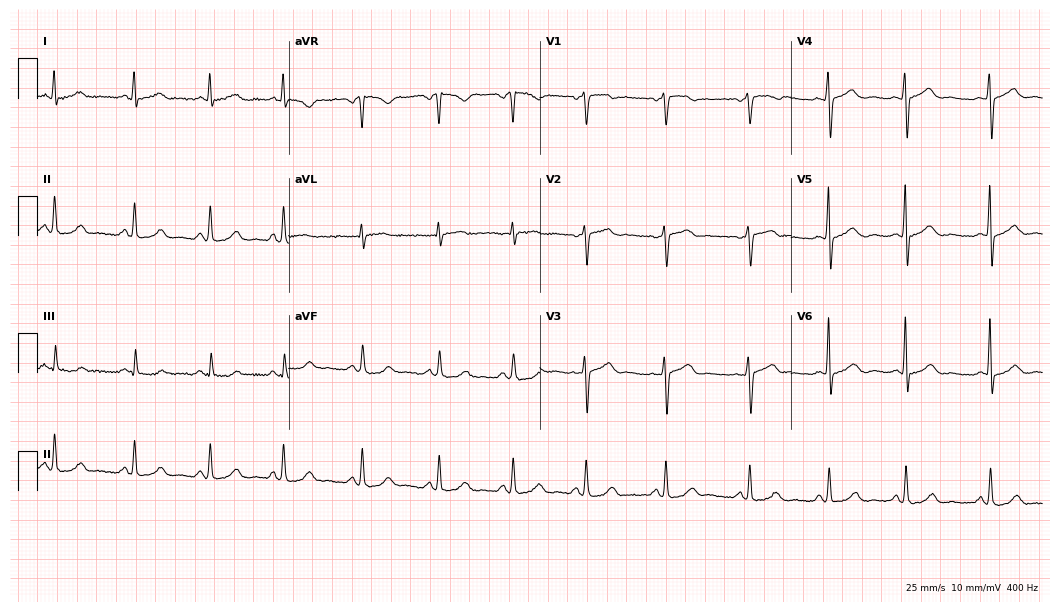
Resting 12-lead electrocardiogram. Patient: a woman, 49 years old. None of these six findings is recorded: first-degree AV block, right bundle branch block, left bundle branch block, sinus bradycardia, atrial fibrillation, sinus tachycardia. Only these six findings were labelled.